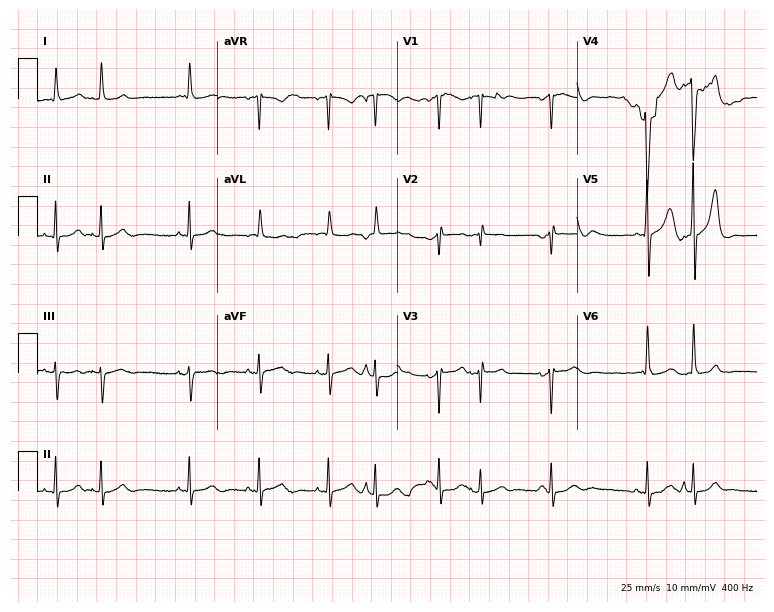
12-lead ECG from a female, 81 years old. Recorded interpretation: within normal limits.